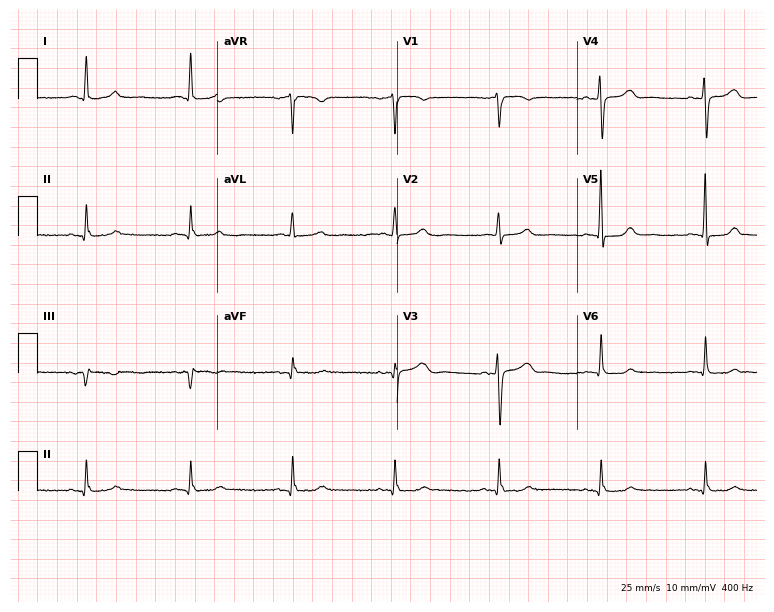
Standard 12-lead ECG recorded from an 81-year-old female patient. None of these six findings is recorded: first-degree AV block, right bundle branch block (RBBB), left bundle branch block (LBBB), sinus bradycardia, atrial fibrillation (AF), sinus tachycardia.